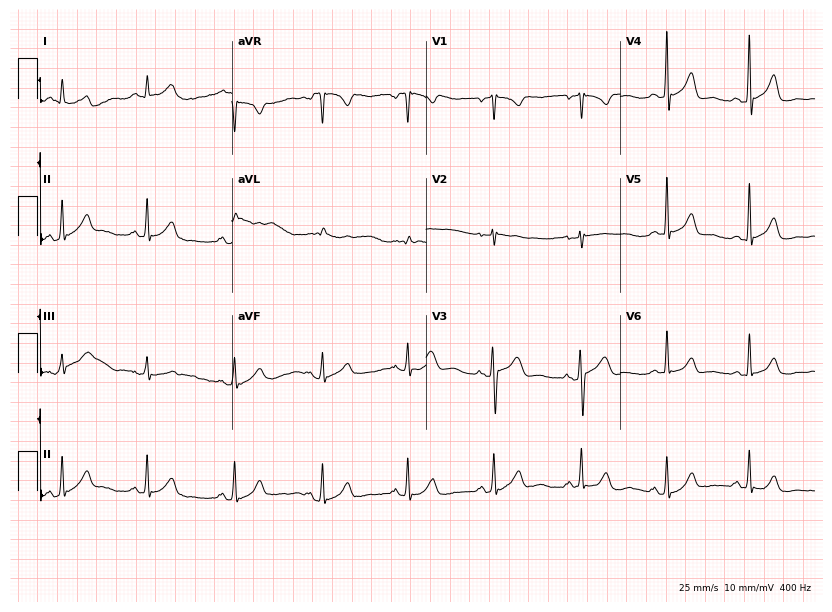
Standard 12-lead ECG recorded from a female patient, 40 years old (7.9-second recording at 400 Hz). None of these six findings is recorded: first-degree AV block, right bundle branch block (RBBB), left bundle branch block (LBBB), sinus bradycardia, atrial fibrillation (AF), sinus tachycardia. Other findings, if any, are not listed.